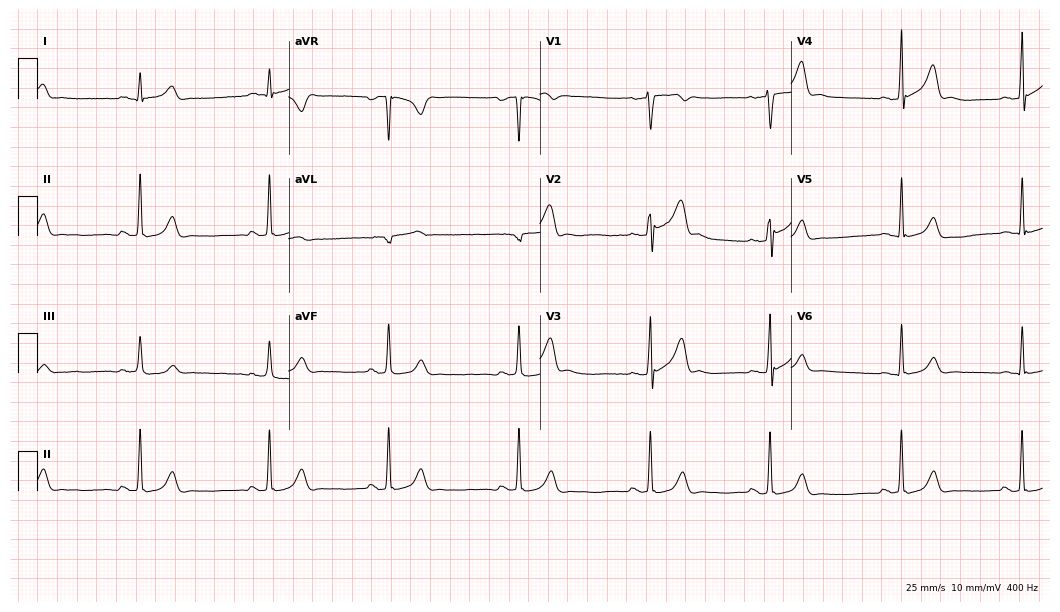
12-lead ECG from a male, 25 years old (10.2-second recording at 400 Hz). Shows sinus bradycardia (a sinus rate of 50 beats per minute or less).